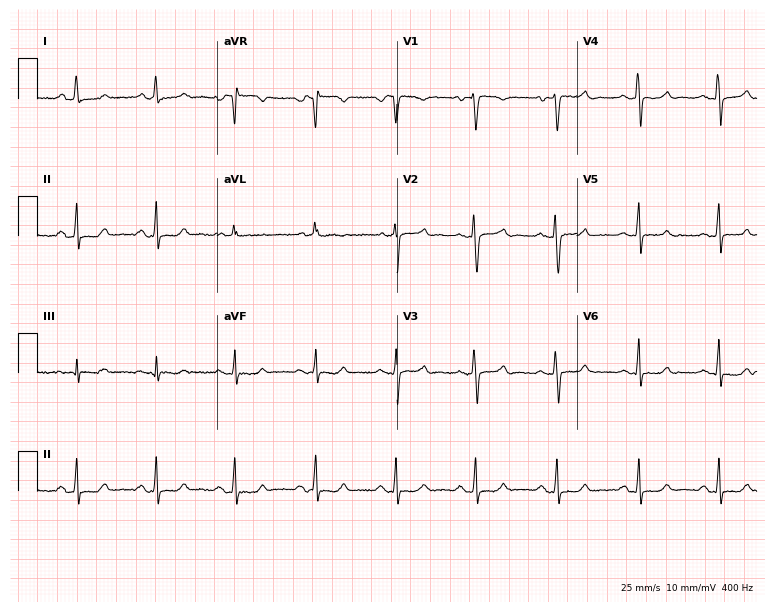
Standard 12-lead ECG recorded from a 34-year-old female. Read as a normal ECG.